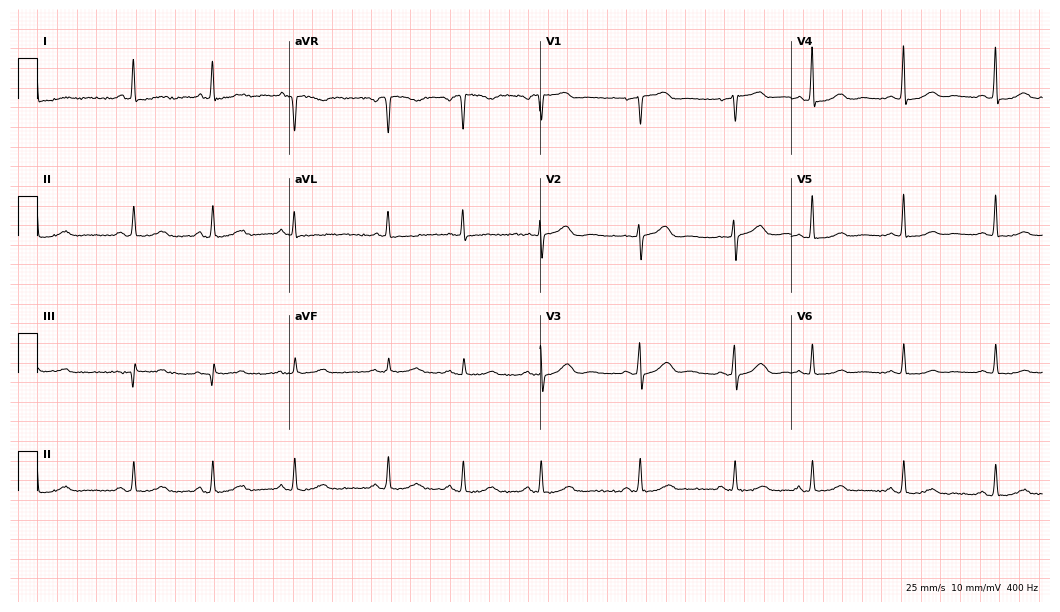
Electrocardiogram (10.2-second recording at 400 Hz), a 61-year-old woman. Overall reading on record: normal ECG.